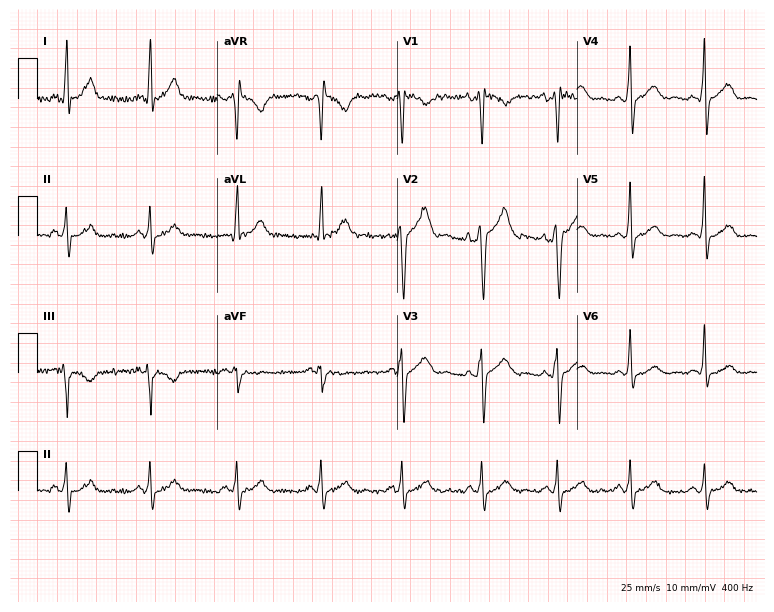
Resting 12-lead electrocardiogram (7.3-second recording at 400 Hz). Patient: a 21-year-old man. None of these six findings is recorded: first-degree AV block, right bundle branch block, left bundle branch block, sinus bradycardia, atrial fibrillation, sinus tachycardia. Findings outside these six are not listed.